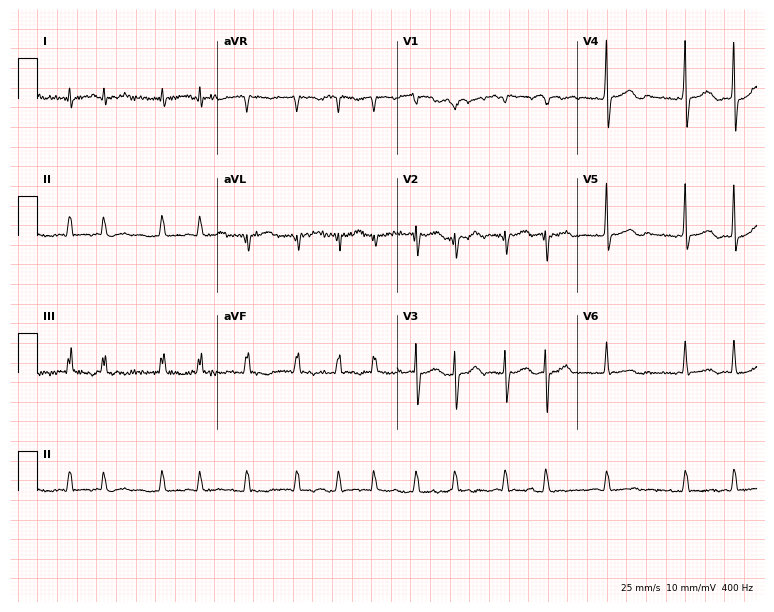
Electrocardiogram, a 75-year-old female. Interpretation includes atrial fibrillation (AF).